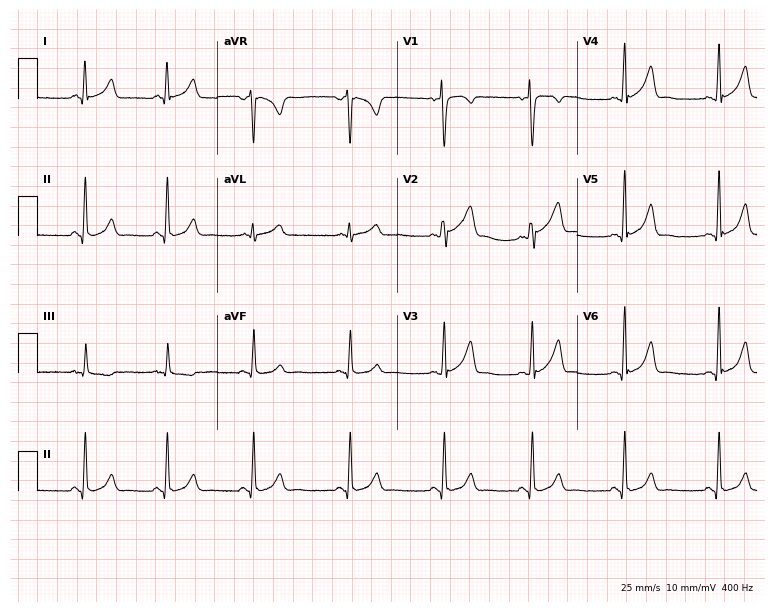
Electrocardiogram, a female patient, 24 years old. Of the six screened findings (first-degree AV block, right bundle branch block, left bundle branch block, sinus bradycardia, atrial fibrillation, sinus tachycardia), none is recorded.